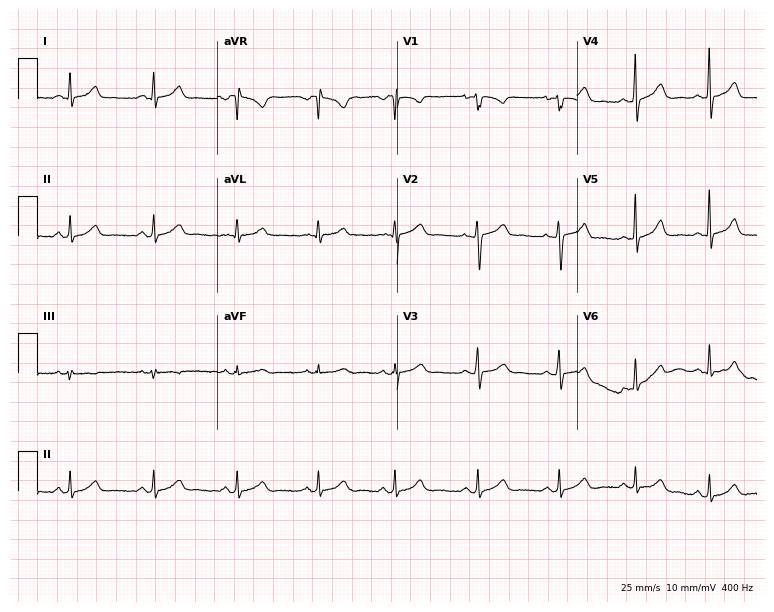
Electrocardiogram, a 30-year-old female patient. Overall reading on record: normal ECG.